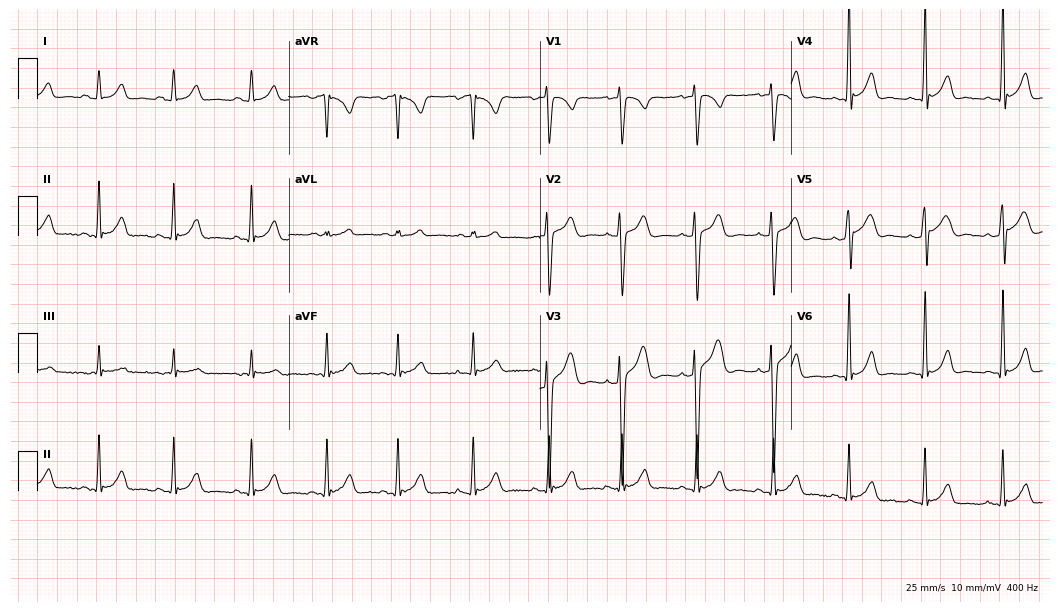
Standard 12-lead ECG recorded from a 17-year-old male. Read as a normal ECG.